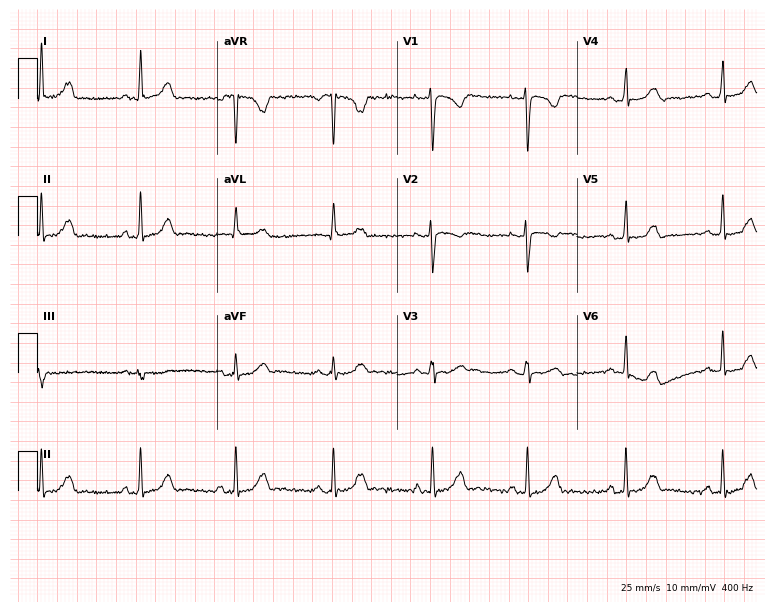
12-lead ECG from a 28-year-old female patient. Screened for six findings — first-degree AV block, right bundle branch block (RBBB), left bundle branch block (LBBB), sinus bradycardia, atrial fibrillation (AF), sinus tachycardia — none is recorded. Only these six findings were labelled.